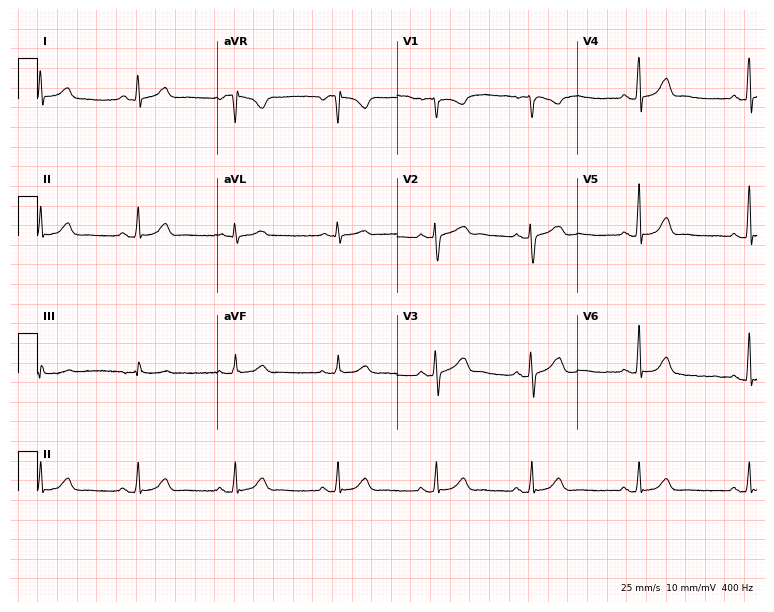
Standard 12-lead ECG recorded from a 29-year-old female. None of these six findings is recorded: first-degree AV block, right bundle branch block, left bundle branch block, sinus bradycardia, atrial fibrillation, sinus tachycardia. Only these six findings were labelled.